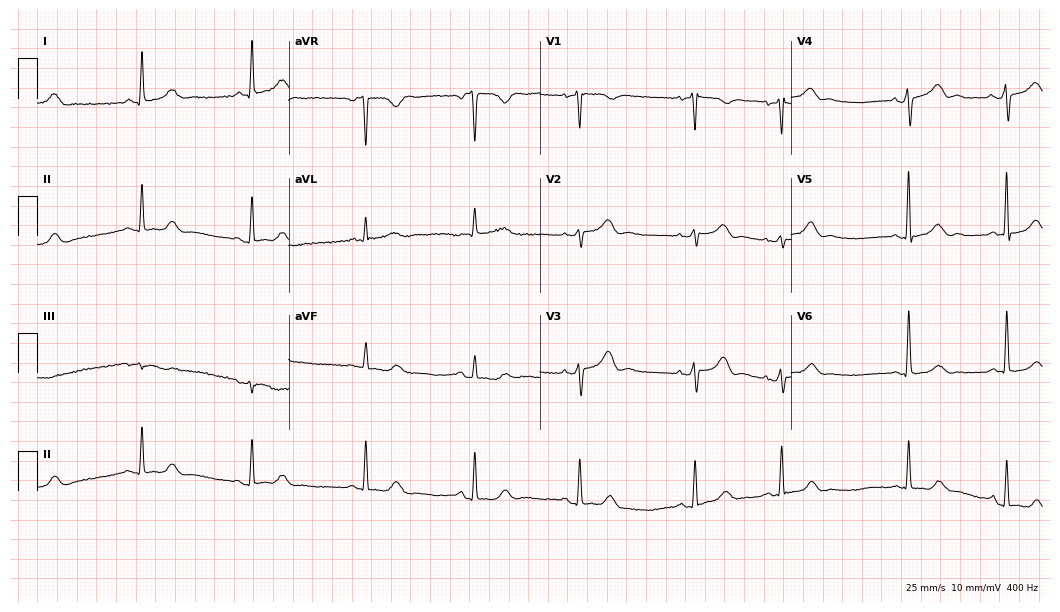
12-lead ECG (10.2-second recording at 400 Hz) from a female patient, 71 years old. Screened for six findings — first-degree AV block, right bundle branch block, left bundle branch block, sinus bradycardia, atrial fibrillation, sinus tachycardia — none is recorded. Findings outside these six are not listed.